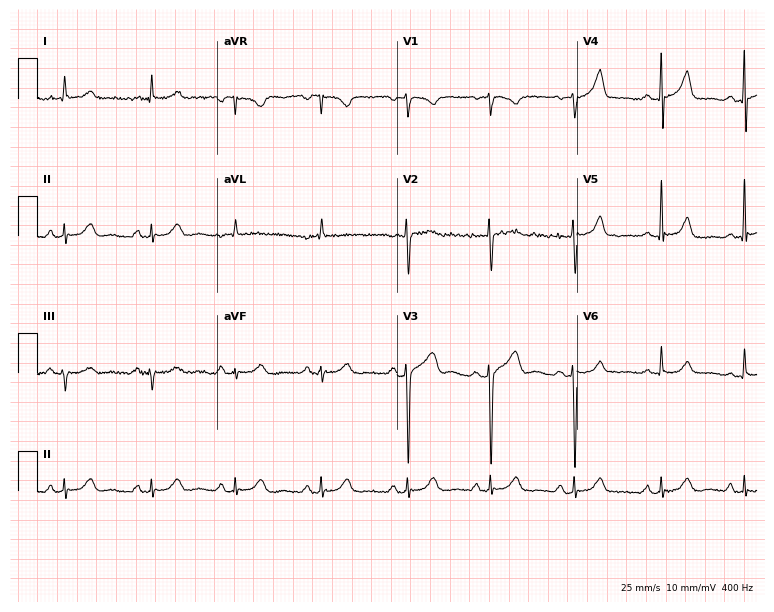
ECG — a 66-year-old woman. Screened for six findings — first-degree AV block, right bundle branch block, left bundle branch block, sinus bradycardia, atrial fibrillation, sinus tachycardia — none is recorded.